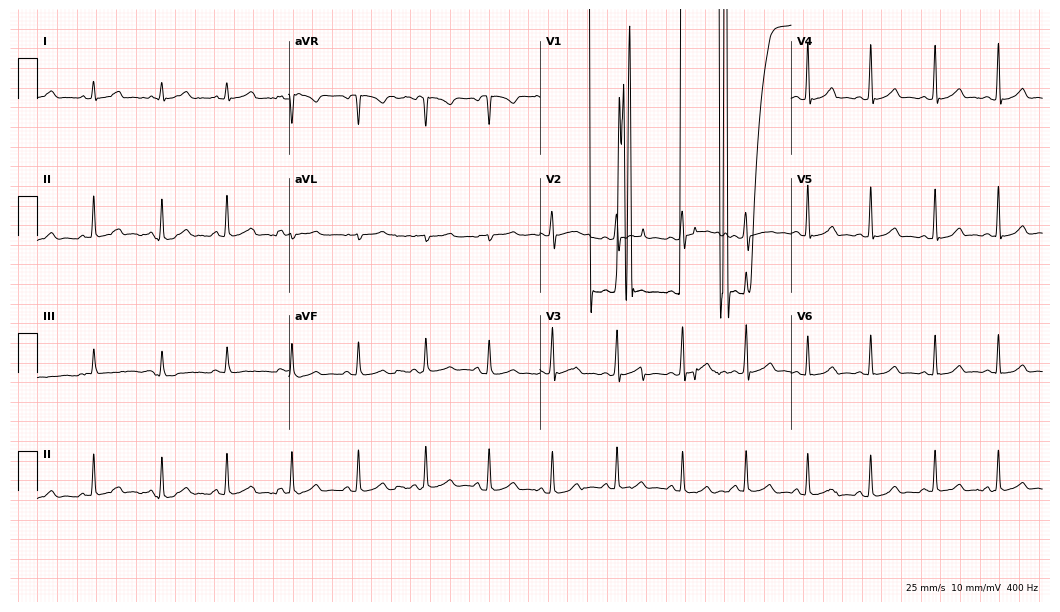
Resting 12-lead electrocardiogram. Patient: a 17-year-old female. None of these six findings is recorded: first-degree AV block, right bundle branch block, left bundle branch block, sinus bradycardia, atrial fibrillation, sinus tachycardia.